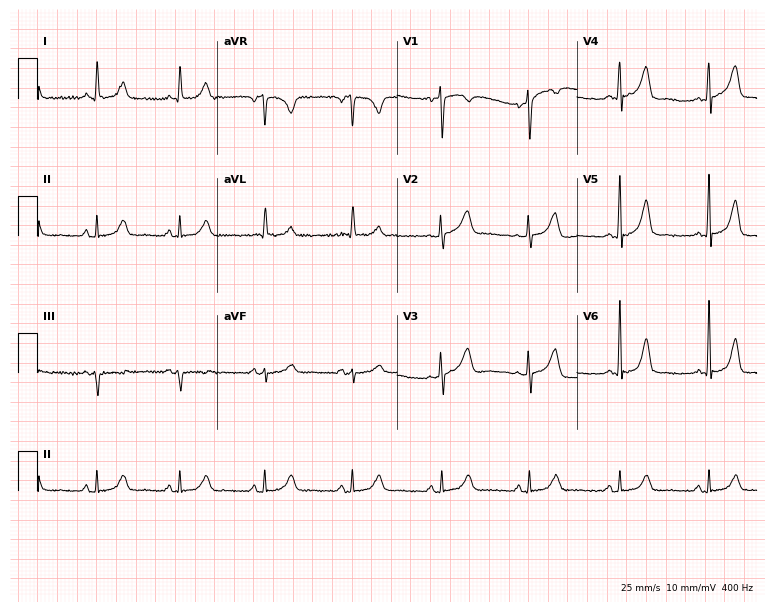
ECG — a female, 25 years old. Screened for six findings — first-degree AV block, right bundle branch block (RBBB), left bundle branch block (LBBB), sinus bradycardia, atrial fibrillation (AF), sinus tachycardia — none is recorded. Other findings, if any, are not listed.